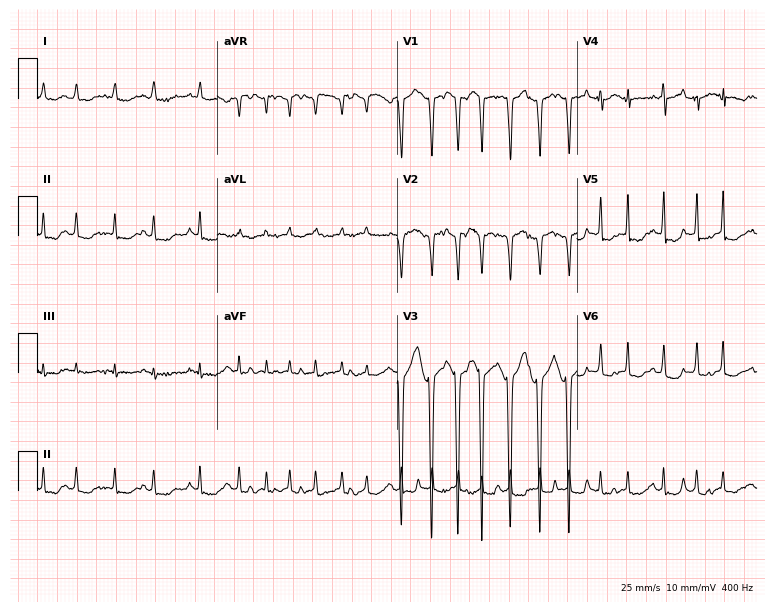
Resting 12-lead electrocardiogram. Patient: a woman, 84 years old. The tracing shows atrial fibrillation (AF), sinus tachycardia (a sinus rate of 100 beats per minute or more).